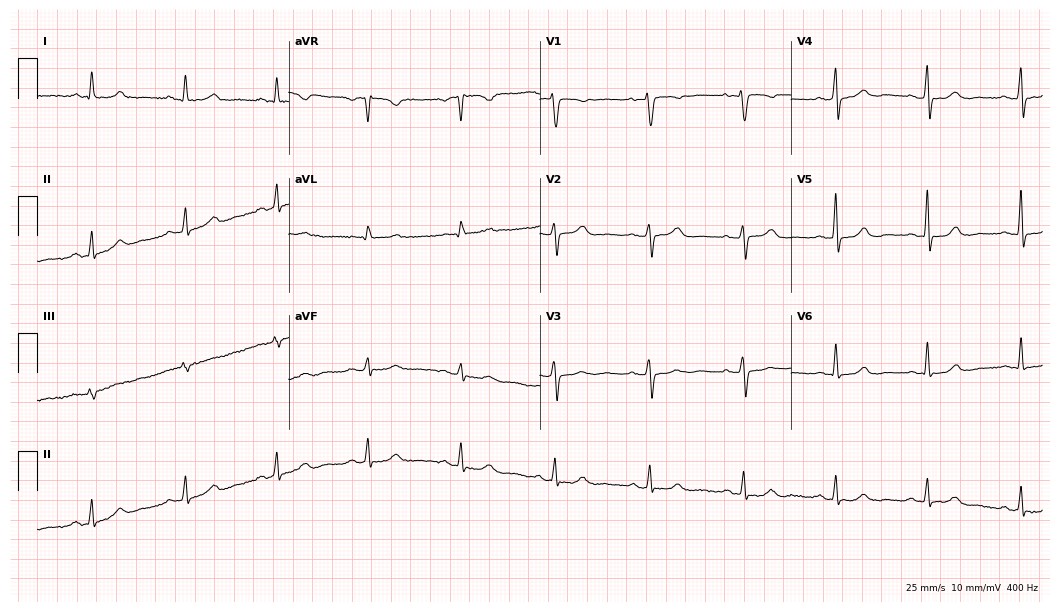
12-lead ECG from a 69-year-old female. Screened for six findings — first-degree AV block, right bundle branch block, left bundle branch block, sinus bradycardia, atrial fibrillation, sinus tachycardia — none is recorded.